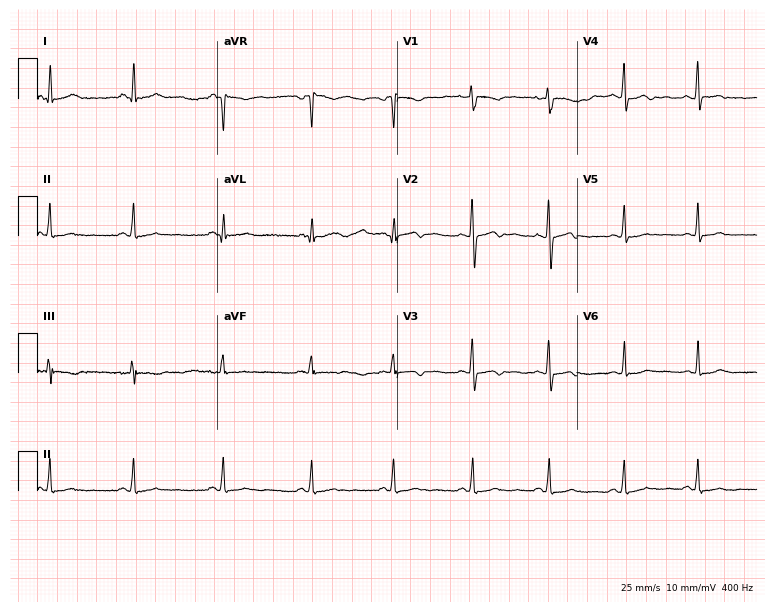
12-lead ECG from a 25-year-old woman. Screened for six findings — first-degree AV block, right bundle branch block, left bundle branch block, sinus bradycardia, atrial fibrillation, sinus tachycardia — none is recorded.